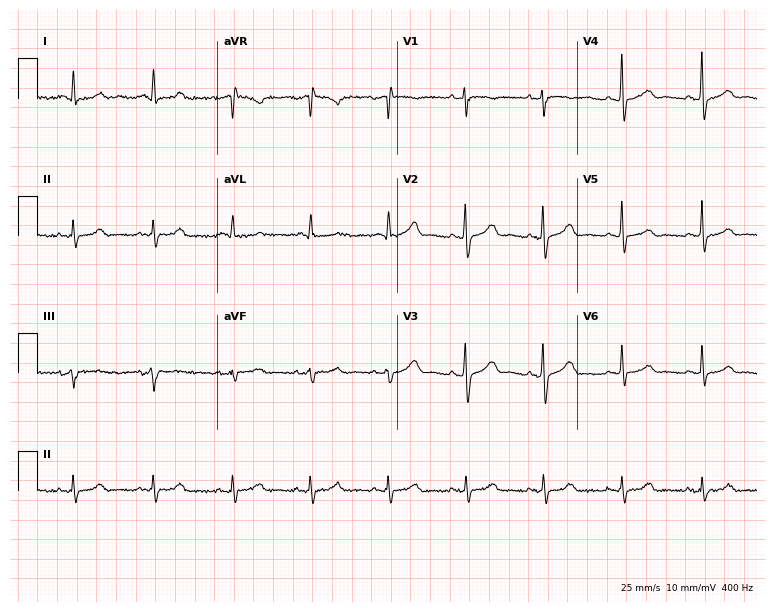
Standard 12-lead ECG recorded from a male, 71 years old. Read as a normal ECG.